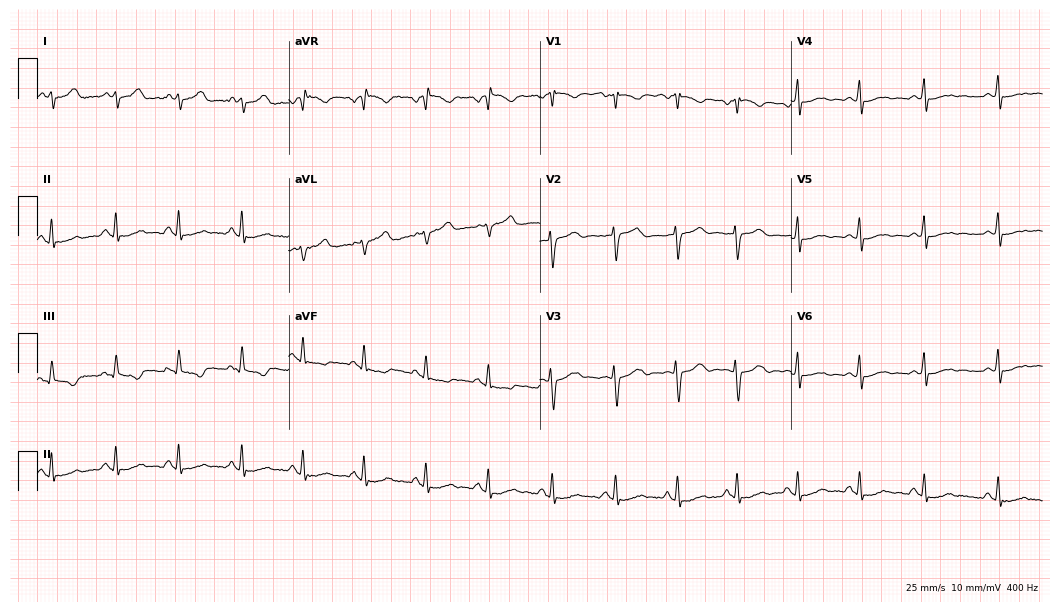
Standard 12-lead ECG recorded from a female patient, 27 years old (10.2-second recording at 400 Hz). Read as a normal ECG.